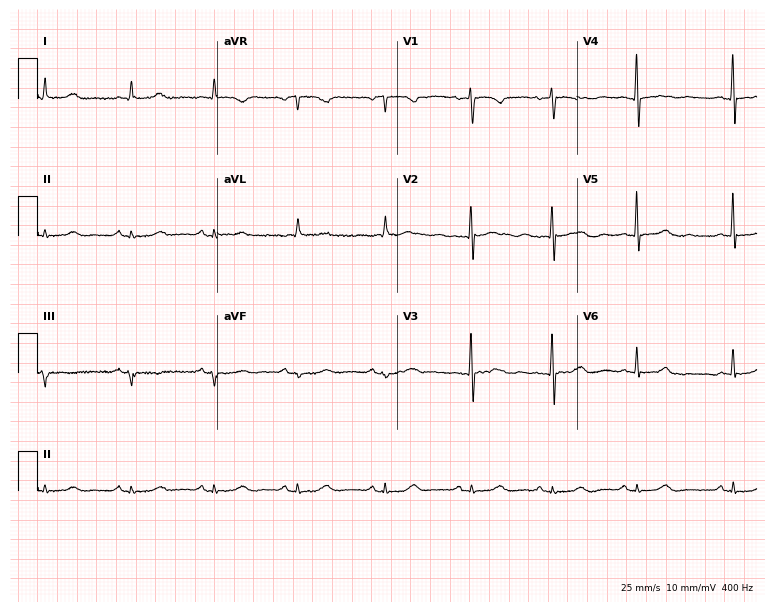
Standard 12-lead ECG recorded from a female, 60 years old. None of these six findings is recorded: first-degree AV block, right bundle branch block, left bundle branch block, sinus bradycardia, atrial fibrillation, sinus tachycardia.